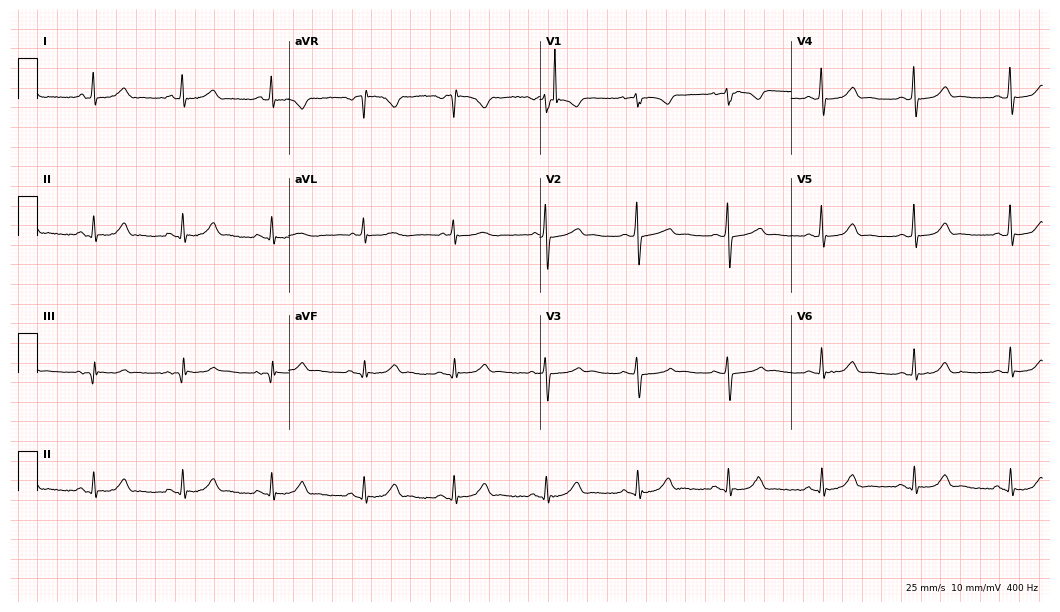
12-lead ECG from a female, 67 years old (10.2-second recording at 400 Hz). Recorded interpretation: within normal limits.